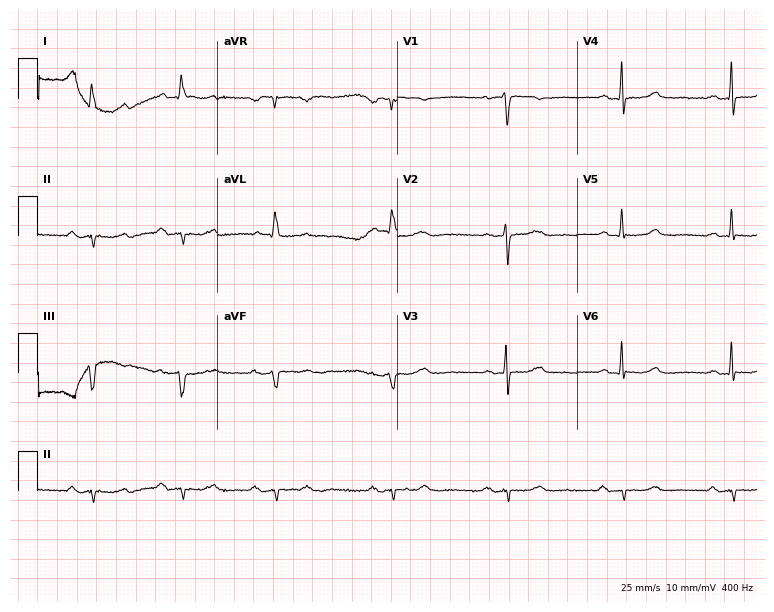
Resting 12-lead electrocardiogram. Patient: an 80-year-old female. None of these six findings is recorded: first-degree AV block, right bundle branch block, left bundle branch block, sinus bradycardia, atrial fibrillation, sinus tachycardia. Findings outside these six are not listed.